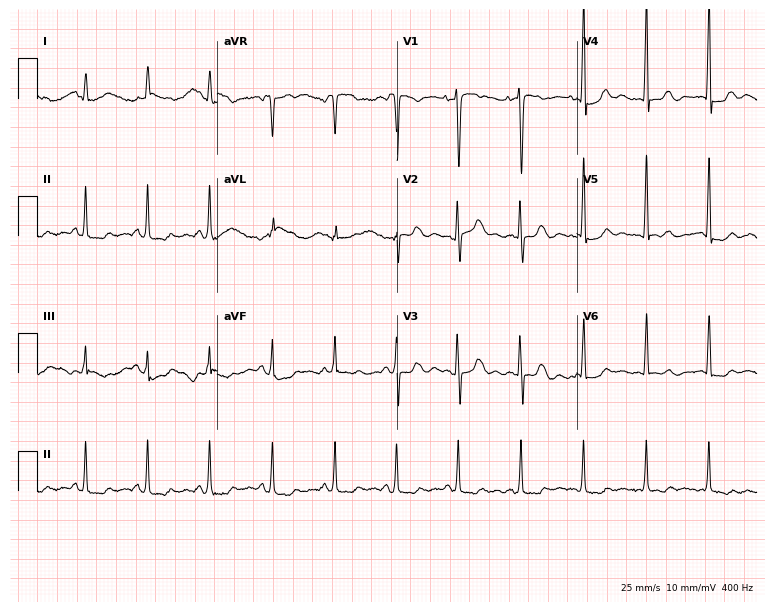
Electrocardiogram (7.3-second recording at 400 Hz), a female patient, 41 years old. Of the six screened findings (first-degree AV block, right bundle branch block (RBBB), left bundle branch block (LBBB), sinus bradycardia, atrial fibrillation (AF), sinus tachycardia), none is recorded.